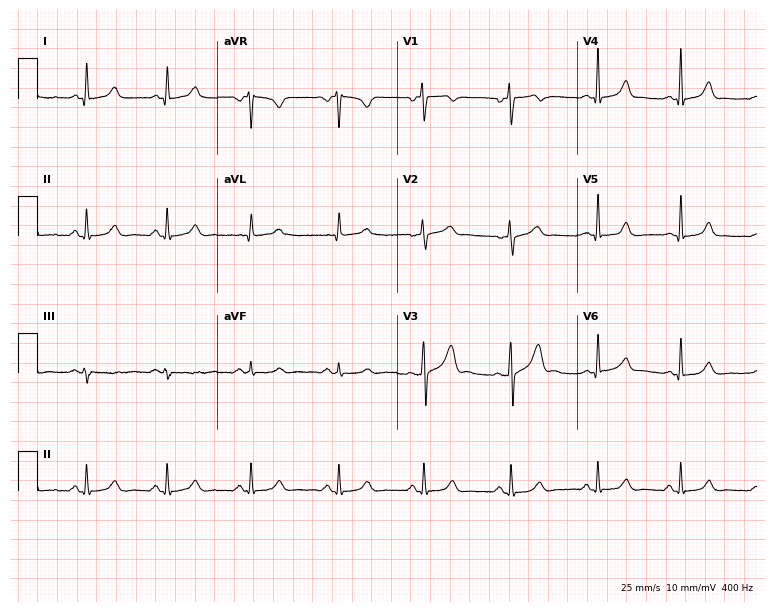
12-lead ECG (7.3-second recording at 400 Hz) from a 24-year-old female. Labelled as a normal ECG.